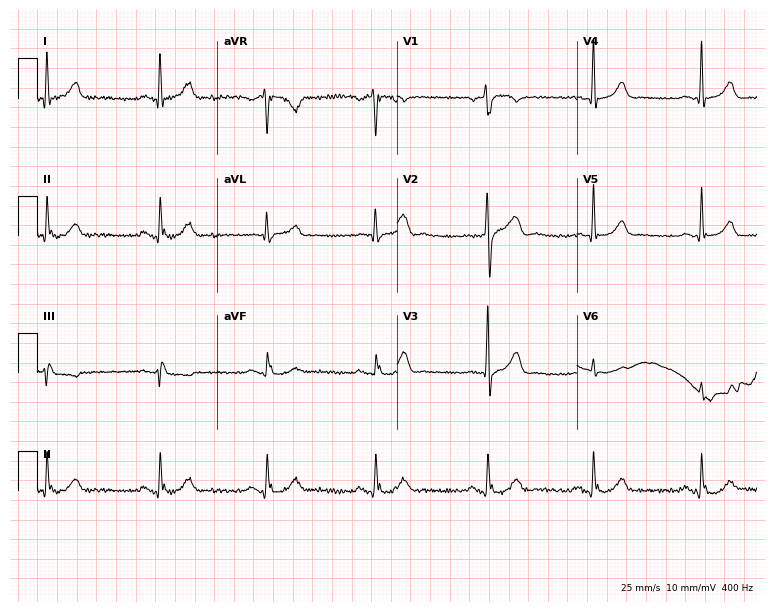
Resting 12-lead electrocardiogram. Patient: a man, 50 years old. None of these six findings is recorded: first-degree AV block, right bundle branch block, left bundle branch block, sinus bradycardia, atrial fibrillation, sinus tachycardia.